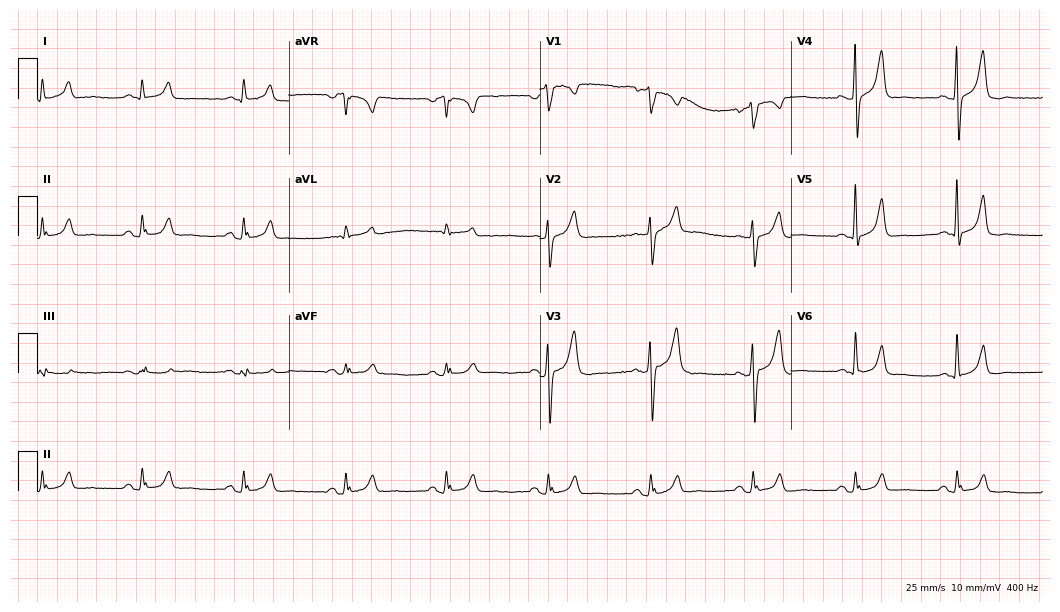
Electrocardiogram (10.2-second recording at 400 Hz), a male, 61 years old. Overall reading on record: normal ECG.